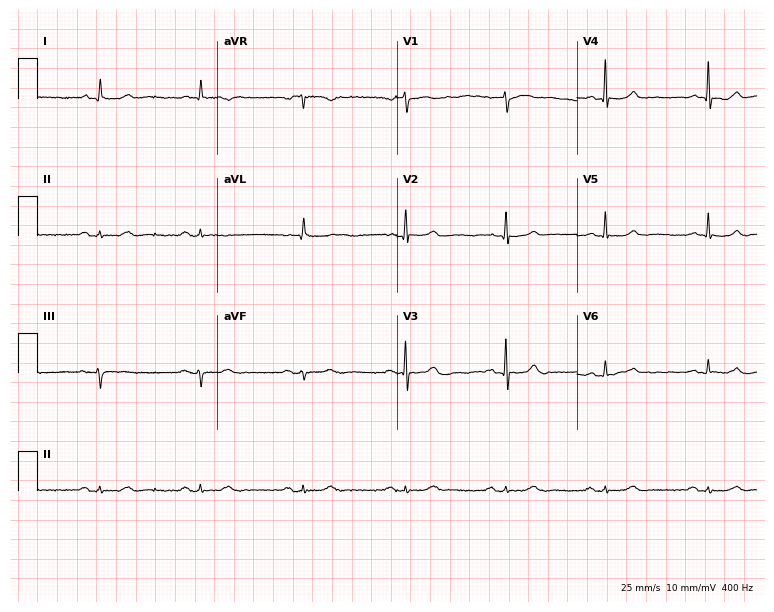
Resting 12-lead electrocardiogram (7.3-second recording at 400 Hz). Patient: a male, 83 years old. None of these six findings is recorded: first-degree AV block, right bundle branch block (RBBB), left bundle branch block (LBBB), sinus bradycardia, atrial fibrillation (AF), sinus tachycardia. Only these six findings were labelled.